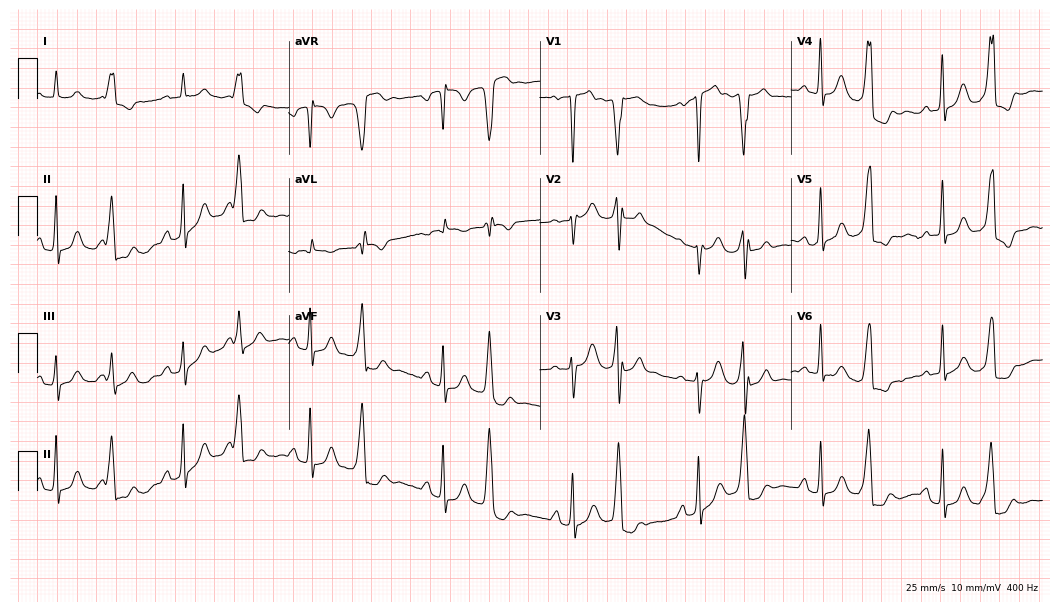
ECG — a man, 74 years old. Screened for six findings — first-degree AV block, right bundle branch block (RBBB), left bundle branch block (LBBB), sinus bradycardia, atrial fibrillation (AF), sinus tachycardia — none is recorded. Findings outside these six are not listed.